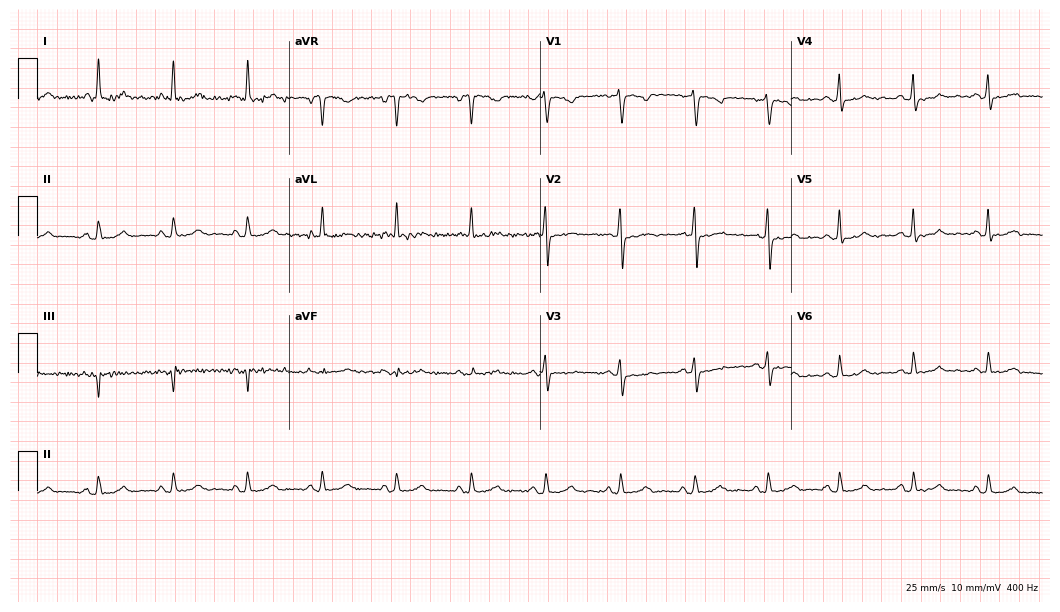
Resting 12-lead electrocardiogram (10.2-second recording at 400 Hz). Patient: a woman, 68 years old. None of these six findings is recorded: first-degree AV block, right bundle branch block, left bundle branch block, sinus bradycardia, atrial fibrillation, sinus tachycardia.